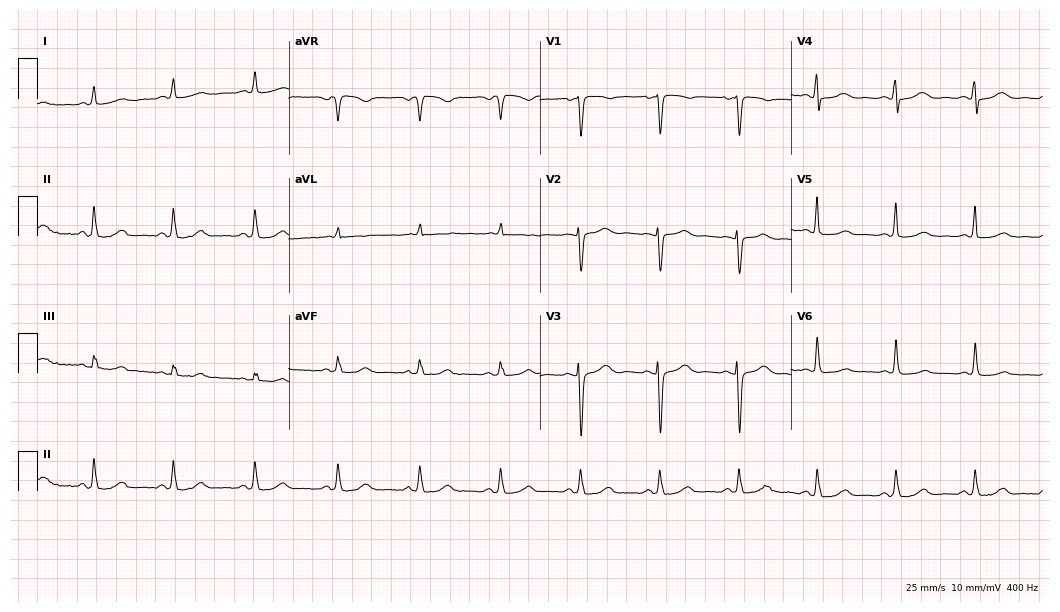
Standard 12-lead ECG recorded from a woman, 63 years old (10.2-second recording at 400 Hz). Read as a normal ECG.